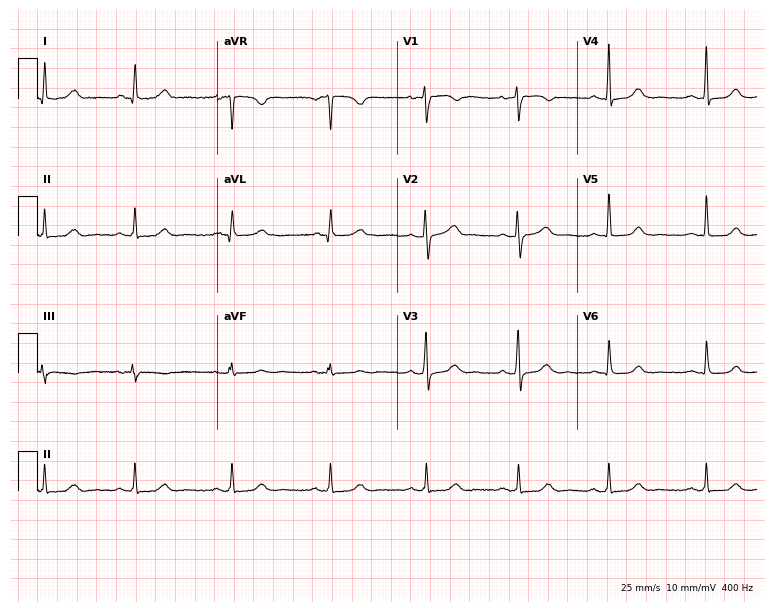
ECG (7.3-second recording at 400 Hz) — a 50-year-old female. Screened for six findings — first-degree AV block, right bundle branch block, left bundle branch block, sinus bradycardia, atrial fibrillation, sinus tachycardia — none is recorded.